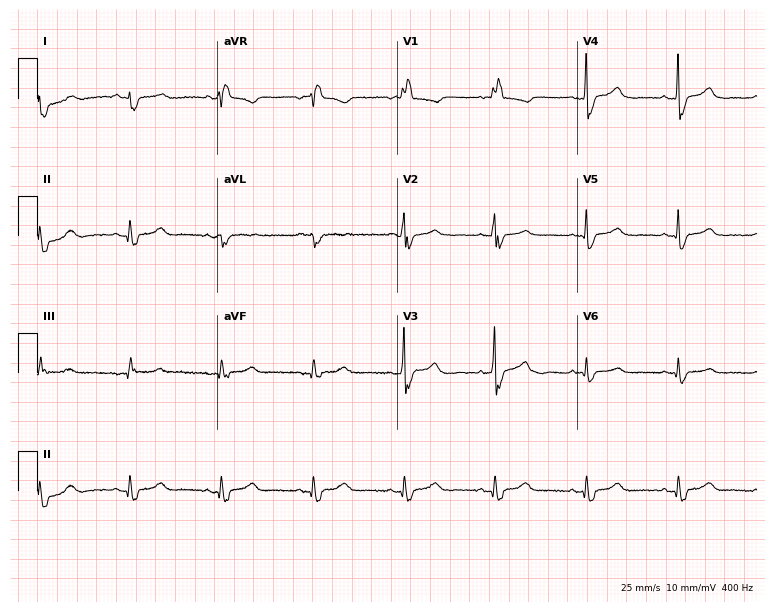
Standard 12-lead ECG recorded from a female patient, 60 years old. The tracing shows right bundle branch block.